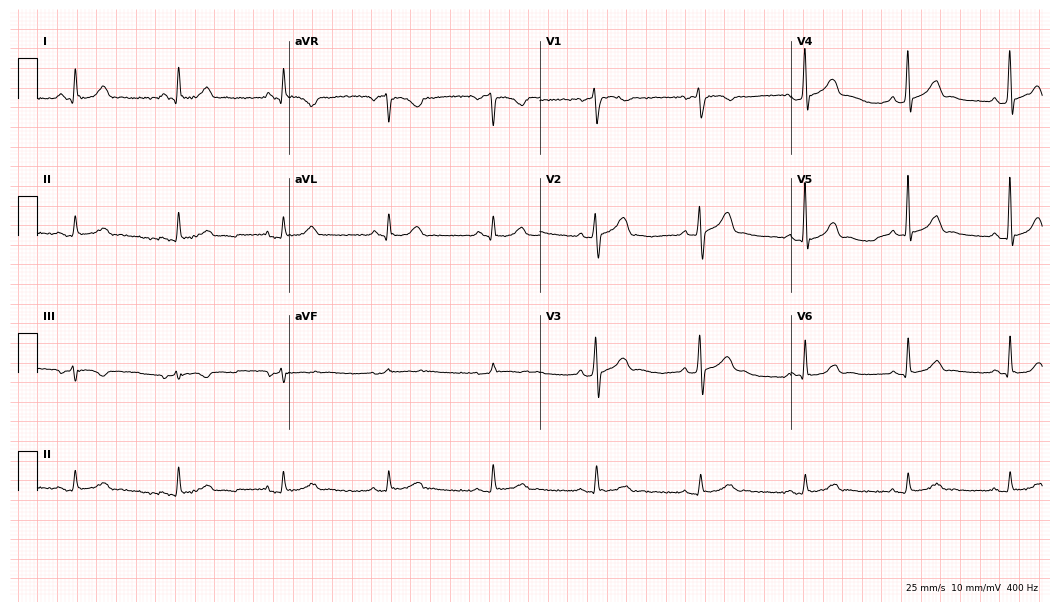
ECG (10.2-second recording at 400 Hz) — a 55-year-old man. Labelled as a normal ECG.